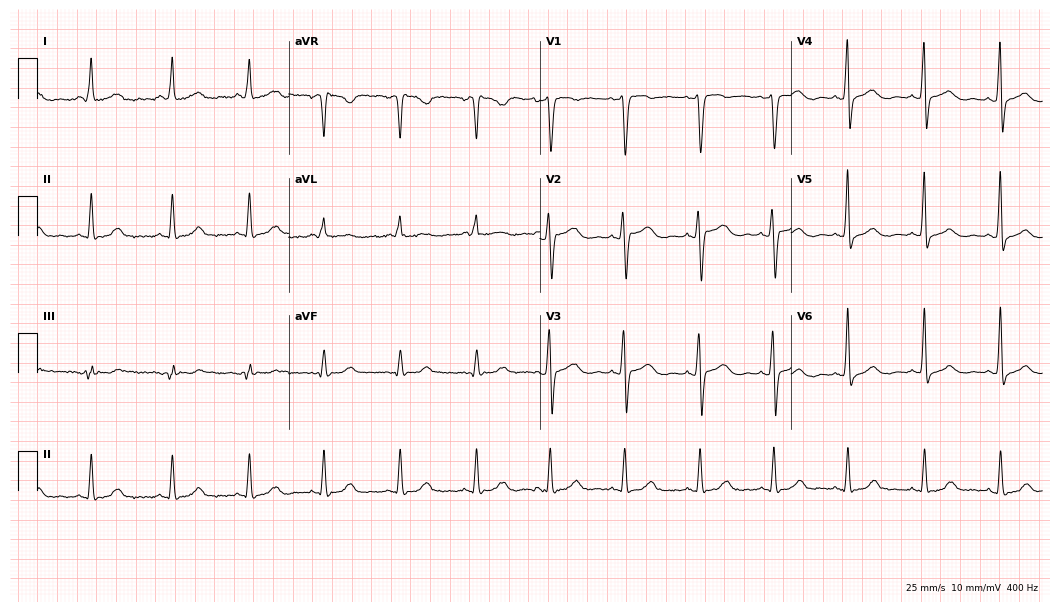
Resting 12-lead electrocardiogram. Patient: a 28-year-old woman. None of these six findings is recorded: first-degree AV block, right bundle branch block, left bundle branch block, sinus bradycardia, atrial fibrillation, sinus tachycardia.